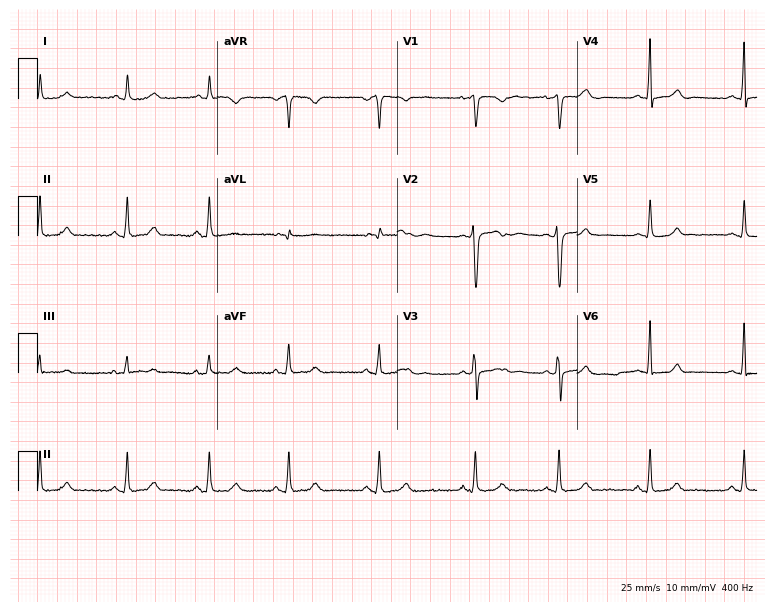
Standard 12-lead ECG recorded from a 29-year-old woman. None of these six findings is recorded: first-degree AV block, right bundle branch block, left bundle branch block, sinus bradycardia, atrial fibrillation, sinus tachycardia. Other findings, if any, are not listed.